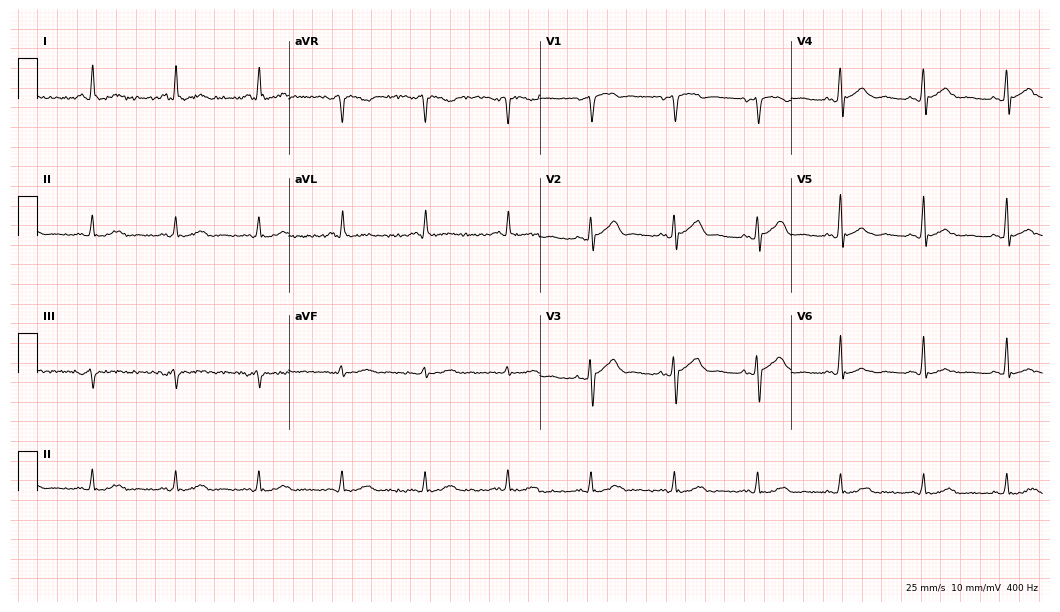
Standard 12-lead ECG recorded from a 49-year-old woman. Read as a normal ECG.